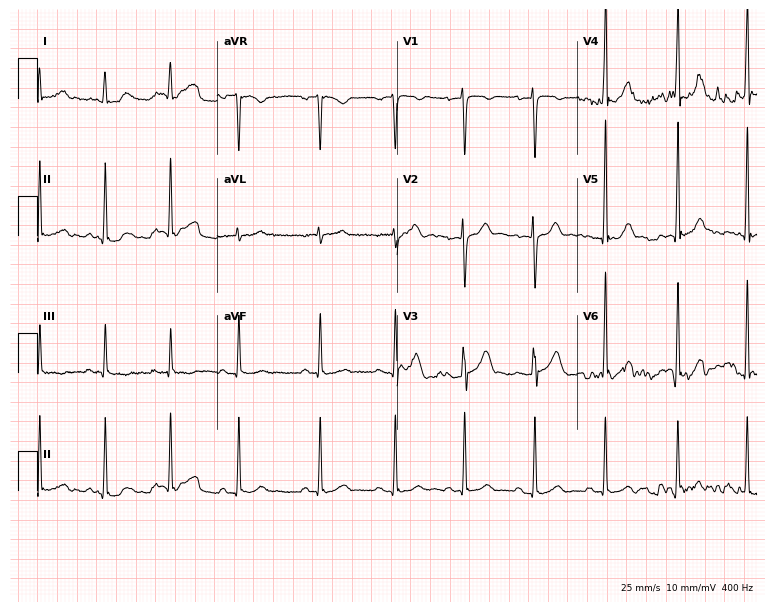
Electrocardiogram (7.3-second recording at 400 Hz), a man, 18 years old. Of the six screened findings (first-degree AV block, right bundle branch block, left bundle branch block, sinus bradycardia, atrial fibrillation, sinus tachycardia), none is recorded.